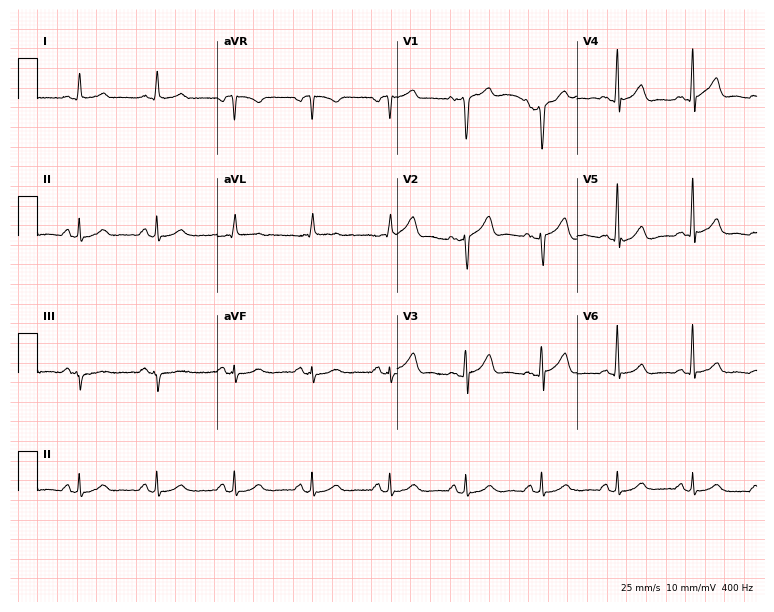
ECG — a 60-year-old man. Labelled as a normal ECG.